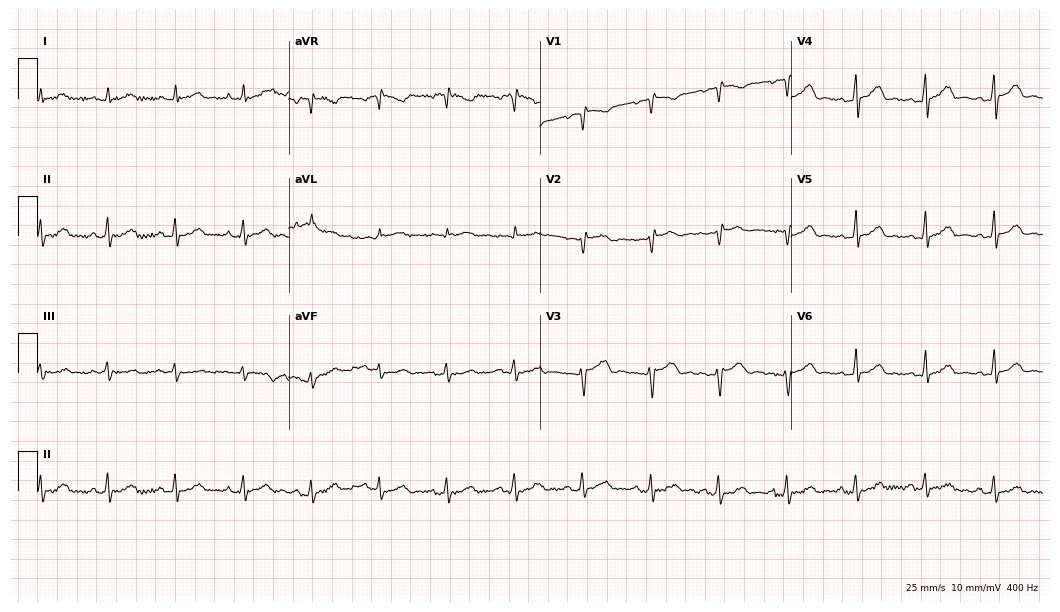
Resting 12-lead electrocardiogram (10.2-second recording at 400 Hz). Patient: a 42-year-old female. None of these six findings is recorded: first-degree AV block, right bundle branch block (RBBB), left bundle branch block (LBBB), sinus bradycardia, atrial fibrillation (AF), sinus tachycardia. Findings outside these six are not listed.